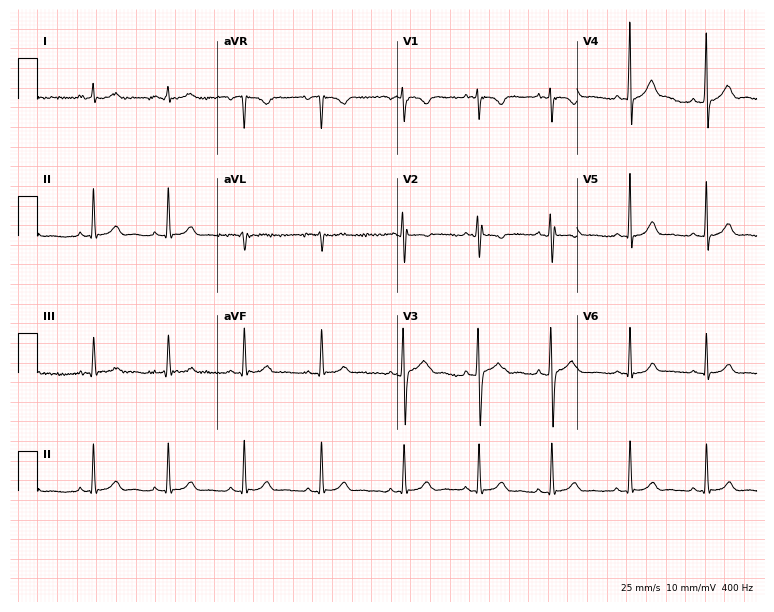
ECG (7.3-second recording at 400 Hz) — a 17-year-old male. Labelled as a normal ECG.